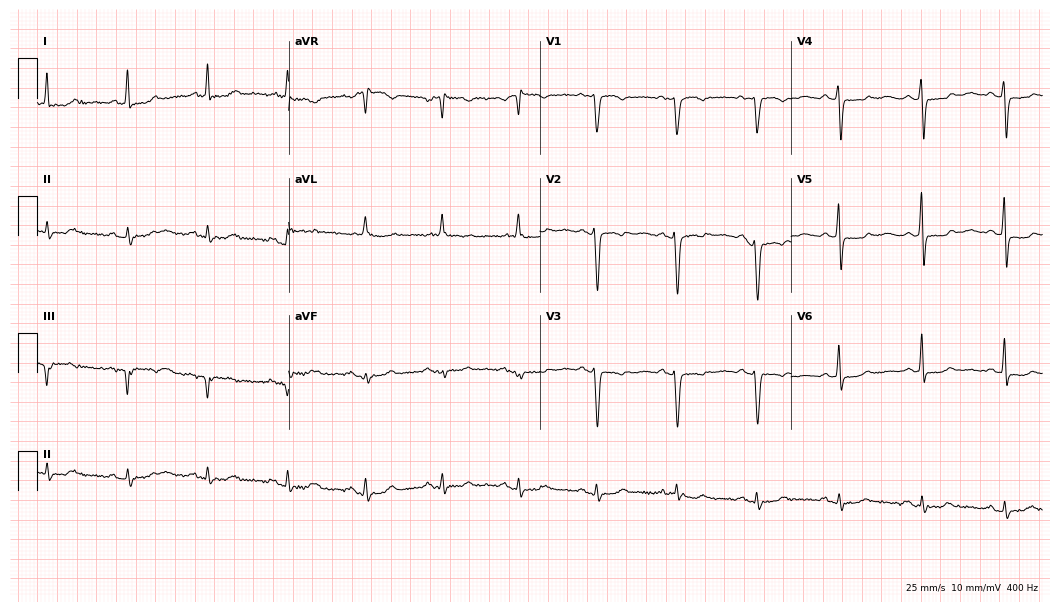
12-lead ECG from a female patient, 77 years old. No first-degree AV block, right bundle branch block (RBBB), left bundle branch block (LBBB), sinus bradycardia, atrial fibrillation (AF) or sinus tachycardia recorded for this tracing.